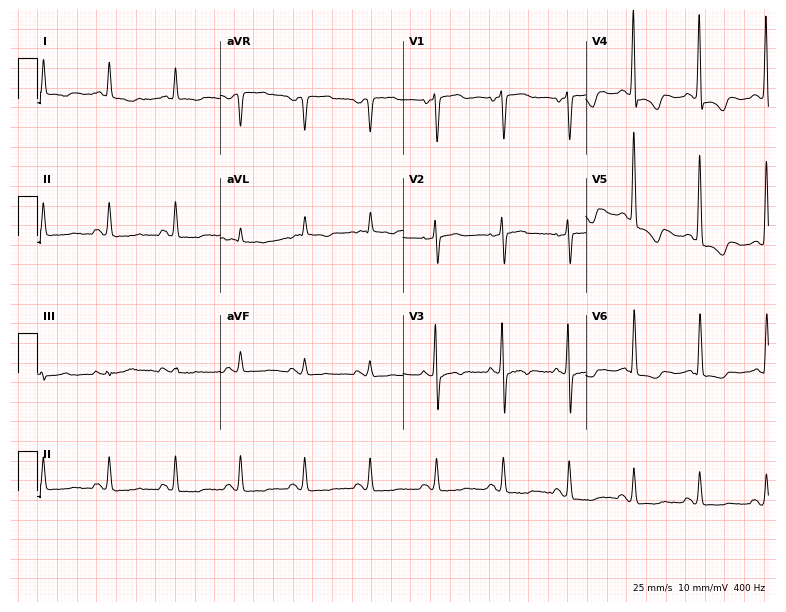
Standard 12-lead ECG recorded from a male, 79 years old. None of these six findings is recorded: first-degree AV block, right bundle branch block, left bundle branch block, sinus bradycardia, atrial fibrillation, sinus tachycardia. Other findings, if any, are not listed.